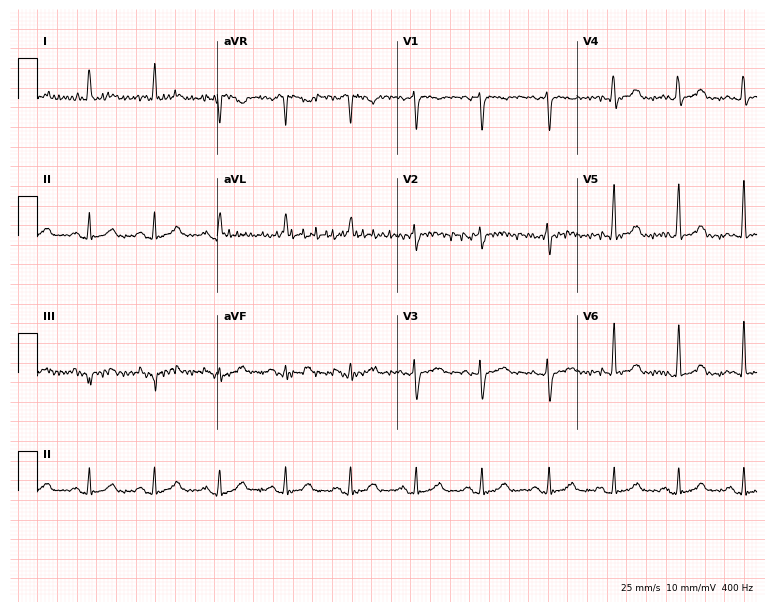
Resting 12-lead electrocardiogram (7.3-second recording at 400 Hz). Patient: a 60-year-old female. Read as a normal ECG.